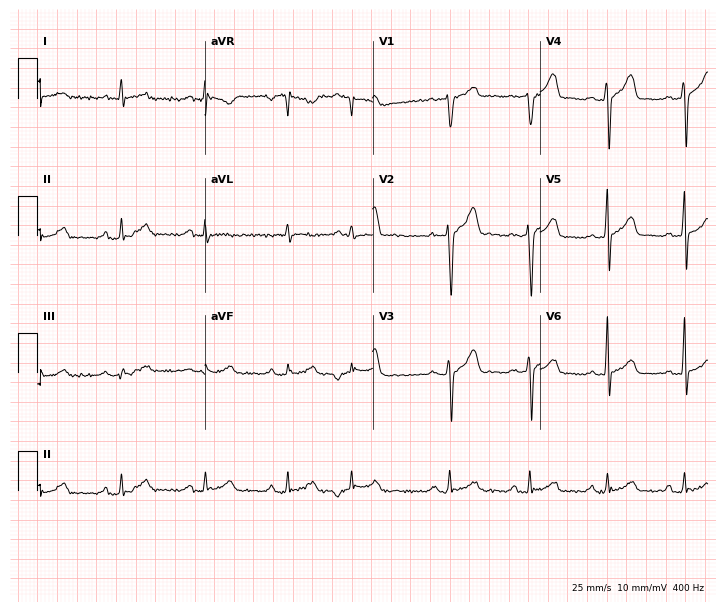
Electrocardiogram, a male patient, 38 years old. Of the six screened findings (first-degree AV block, right bundle branch block, left bundle branch block, sinus bradycardia, atrial fibrillation, sinus tachycardia), none is recorded. Other findings, if any, are not listed.